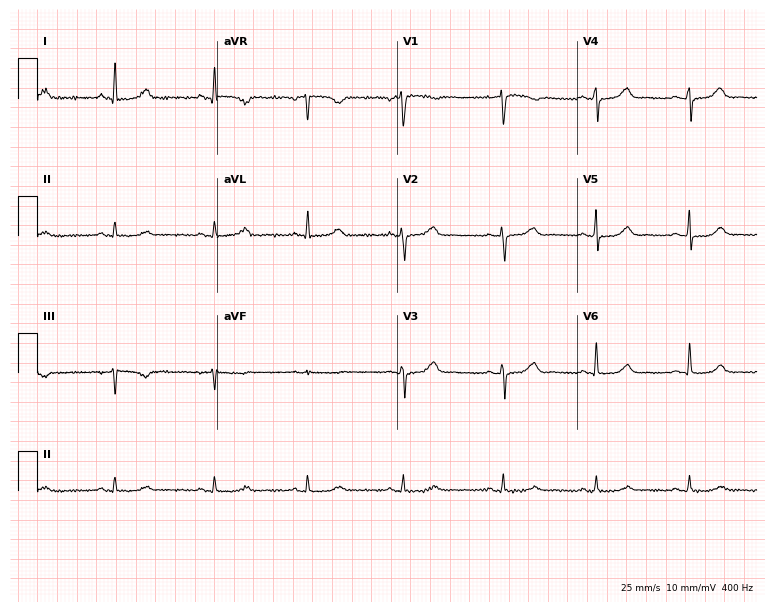
Electrocardiogram (7.3-second recording at 400 Hz), a woman, 42 years old. Of the six screened findings (first-degree AV block, right bundle branch block, left bundle branch block, sinus bradycardia, atrial fibrillation, sinus tachycardia), none is recorded.